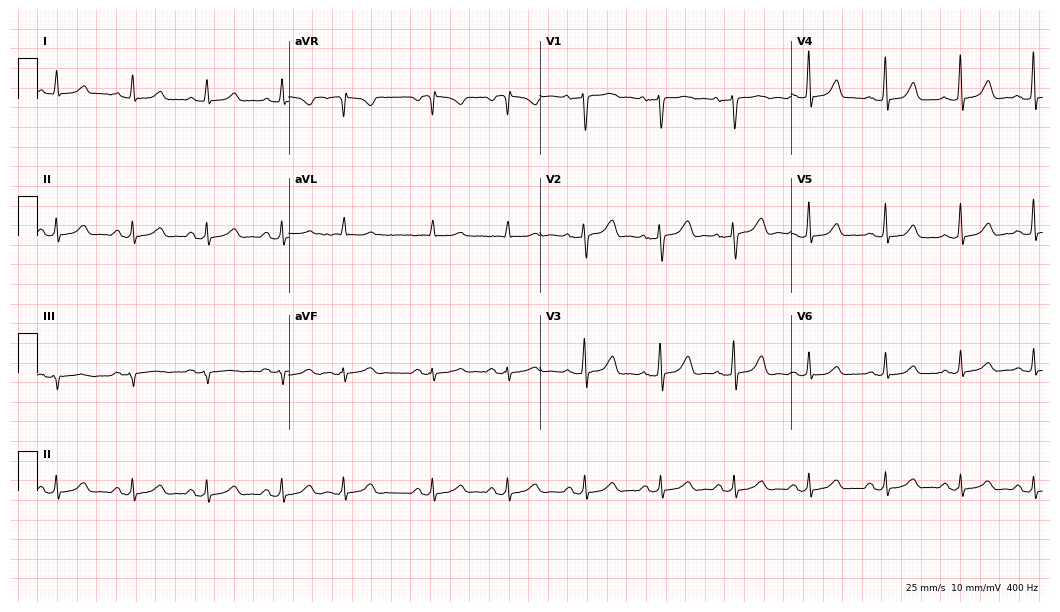
12-lead ECG from a 49-year-old female patient (10.2-second recording at 400 Hz). No first-degree AV block, right bundle branch block (RBBB), left bundle branch block (LBBB), sinus bradycardia, atrial fibrillation (AF) or sinus tachycardia recorded for this tracing.